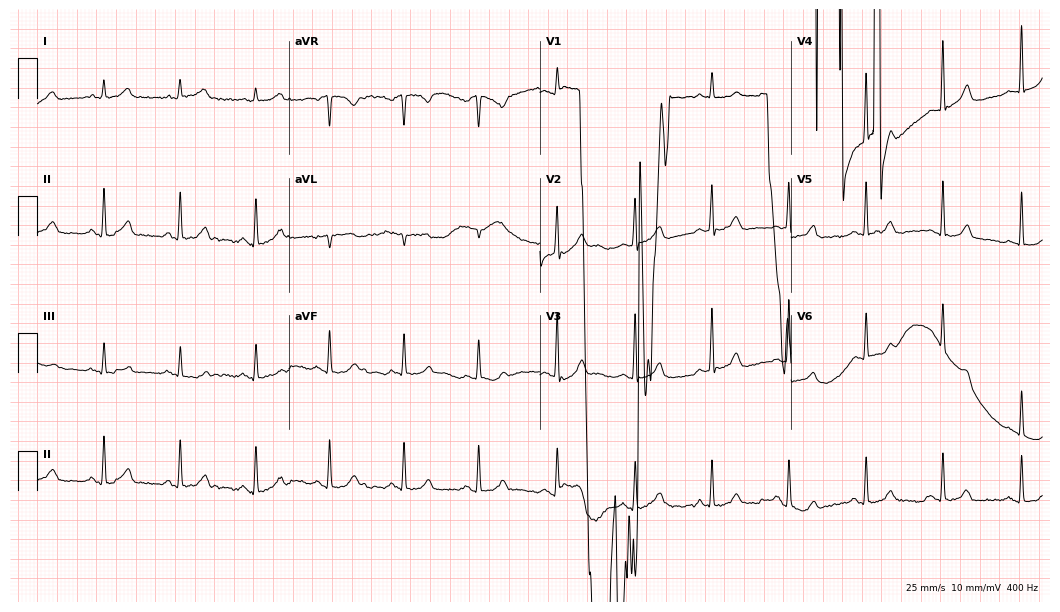
12-lead ECG from a 46-year-old female patient. No first-degree AV block, right bundle branch block, left bundle branch block, sinus bradycardia, atrial fibrillation or sinus tachycardia recorded for this tracing. Other findings, if any, are not listed.